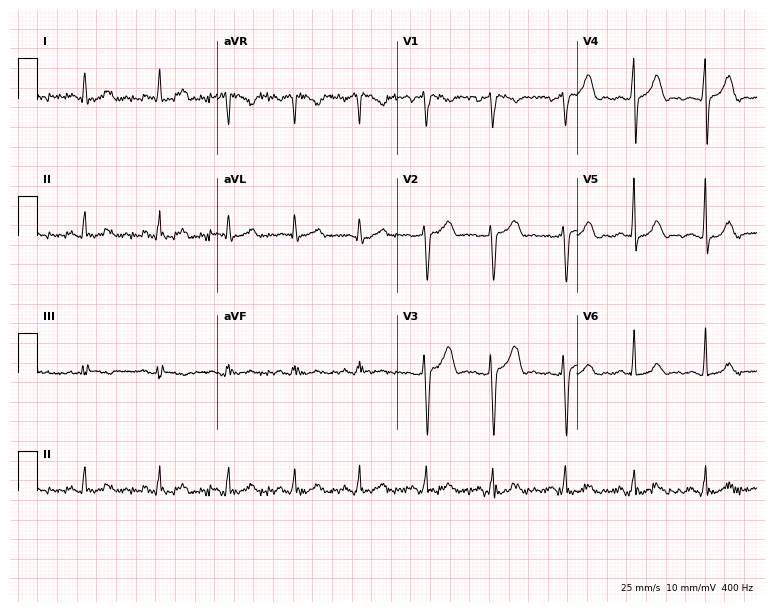
Electrocardiogram, a male patient, 38 years old. Overall reading on record: normal ECG.